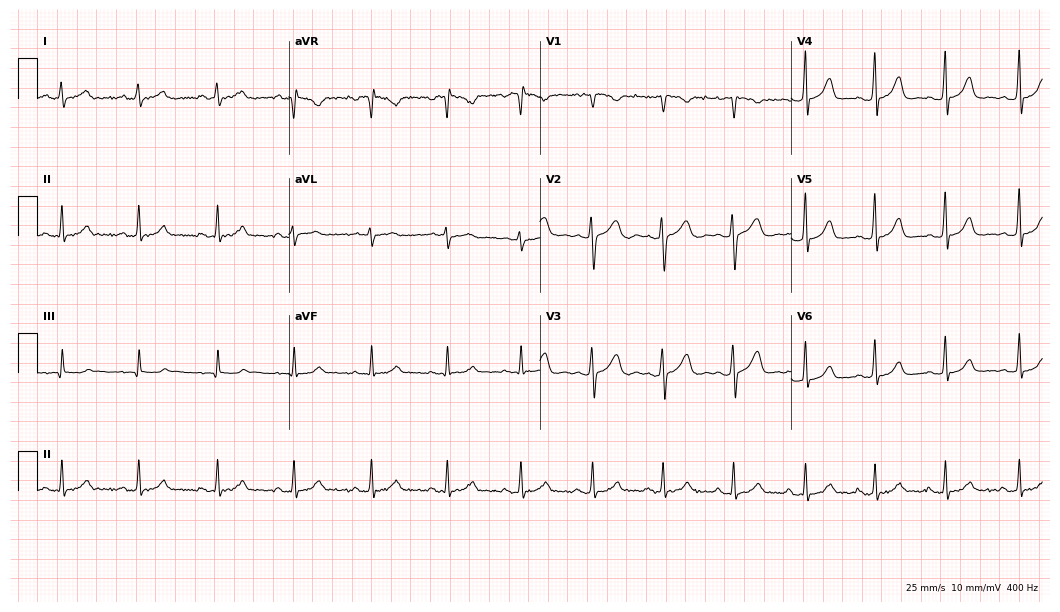
ECG (10.2-second recording at 400 Hz) — a 19-year-old woman. Labelled as a normal ECG.